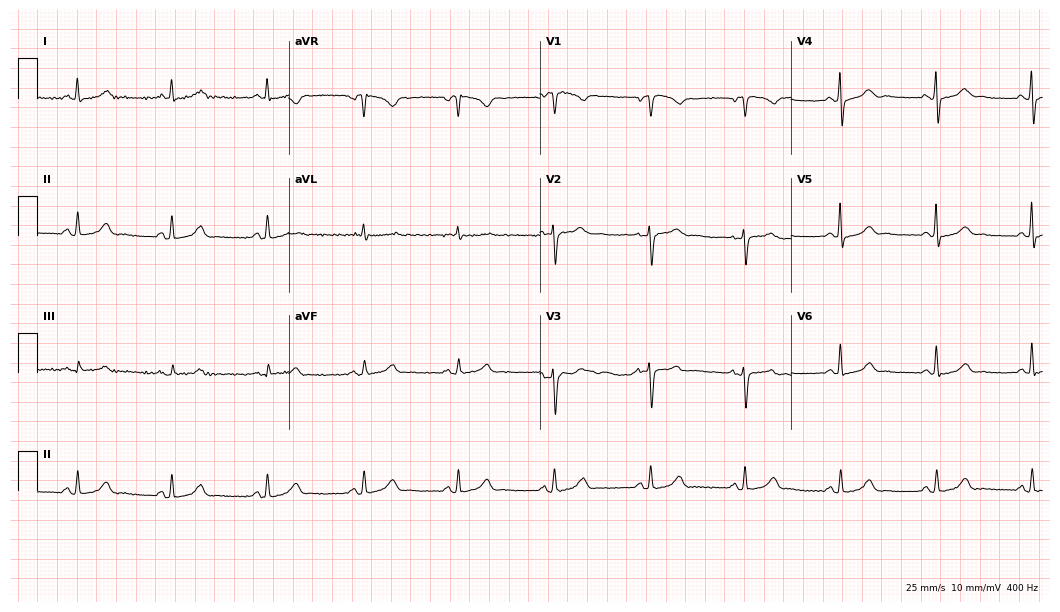
12-lead ECG from a female, 63 years old. Screened for six findings — first-degree AV block, right bundle branch block, left bundle branch block, sinus bradycardia, atrial fibrillation, sinus tachycardia — none is recorded. Only these six findings were labelled.